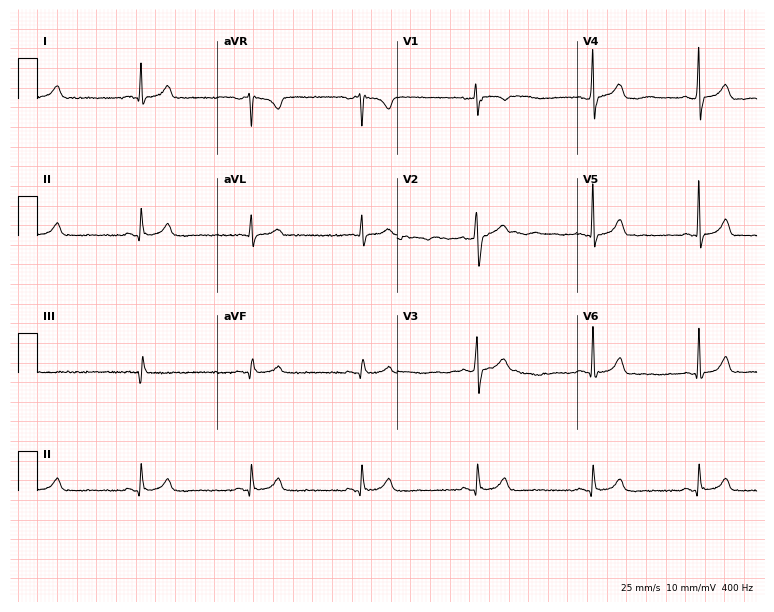
ECG — a 50-year-old man. Labelled as a normal ECG.